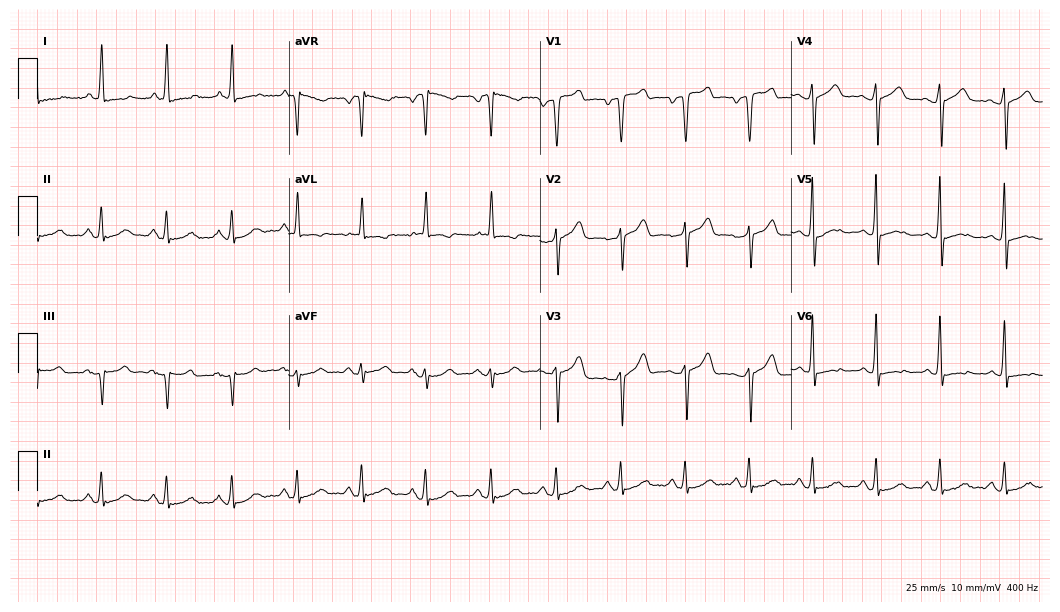
12-lead ECG (10.2-second recording at 400 Hz) from a female, 74 years old. Screened for six findings — first-degree AV block, right bundle branch block, left bundle branch block, sinus bradycardia, atrial fibrillation, sinus tachycardia — none is recorded.